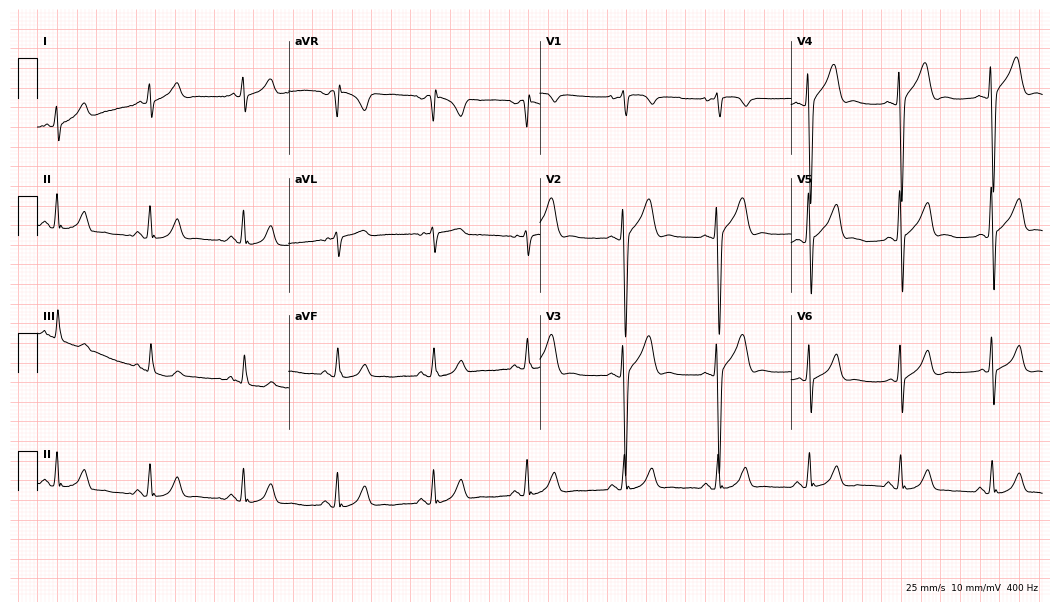
Standard 12-lead ECG recorded from a male, 20 years old. Read as a normal ECG.